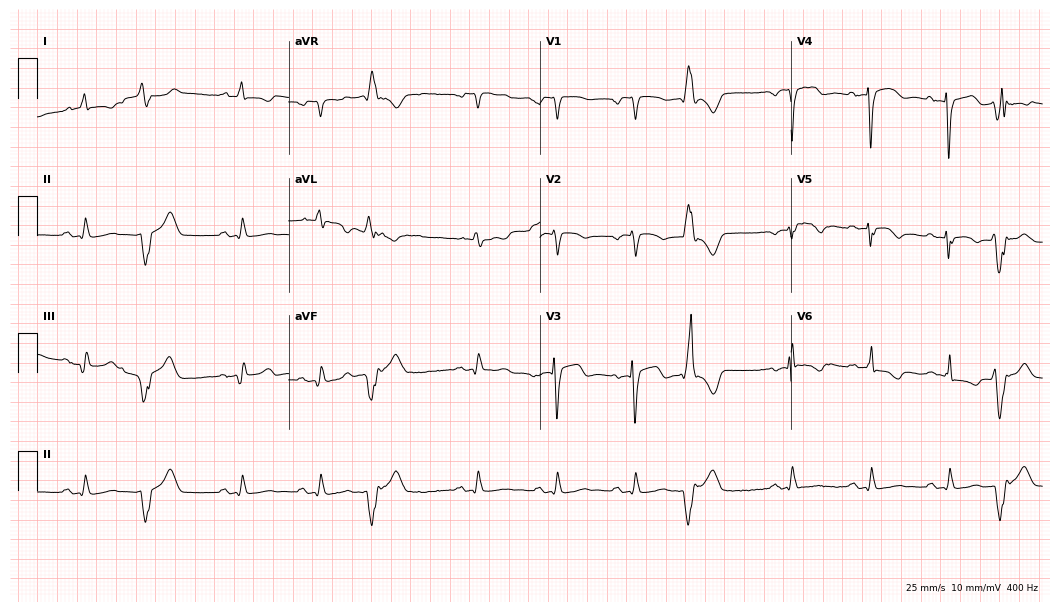
Standard 12-lead ECG recorded from an 80-year-old male patient. None of these six findings is recorded: first-degree AV block, right bundle branch block, left bundle branch block, sinus bradycardia, atrial fibrillation, sinus tachycardia.